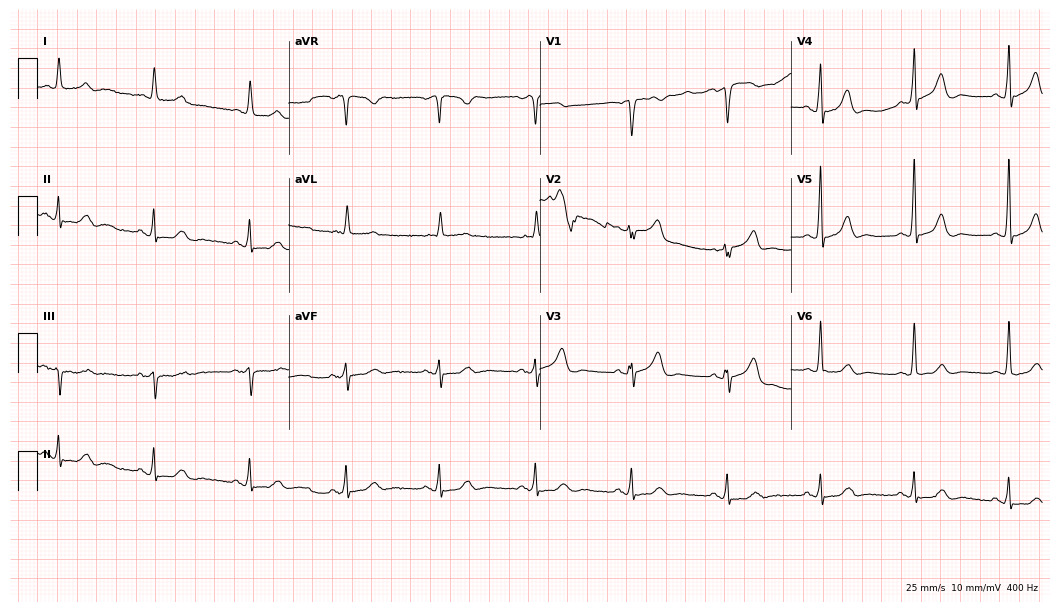
ECG (10.2-second recording at 400 Hz) — an 83-year-old female. Labelled as a normal ECG.